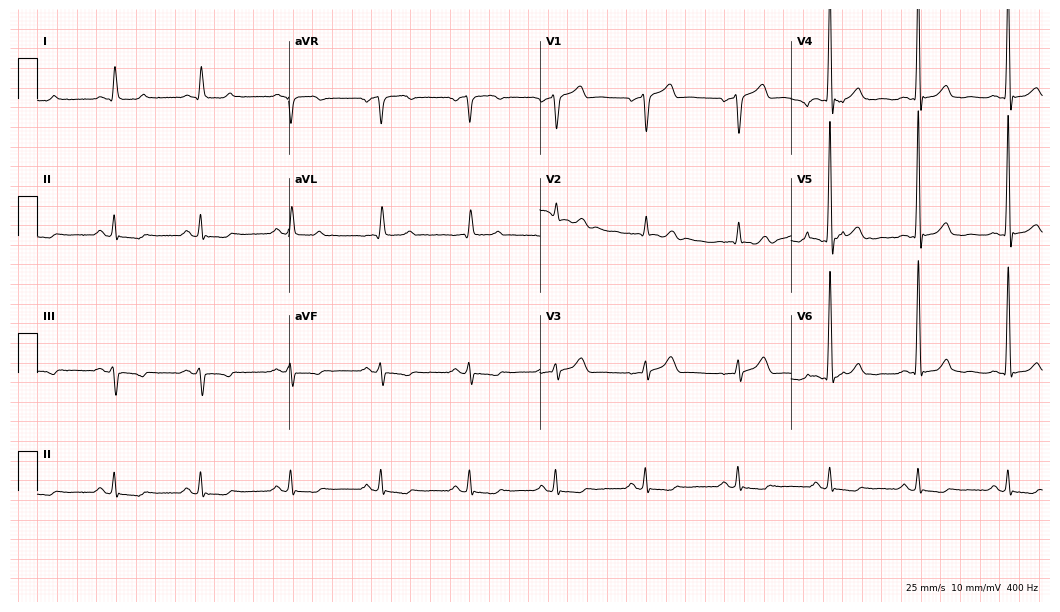
12-lead ECG from a male, 56 years old (10.2-second recording at 400 Hz). No first-degree AV block, right bundle branch block, left bundle branch block, sinus bradycardia, atrial fibrillation or sinus tachycardia recorded for this tracing.